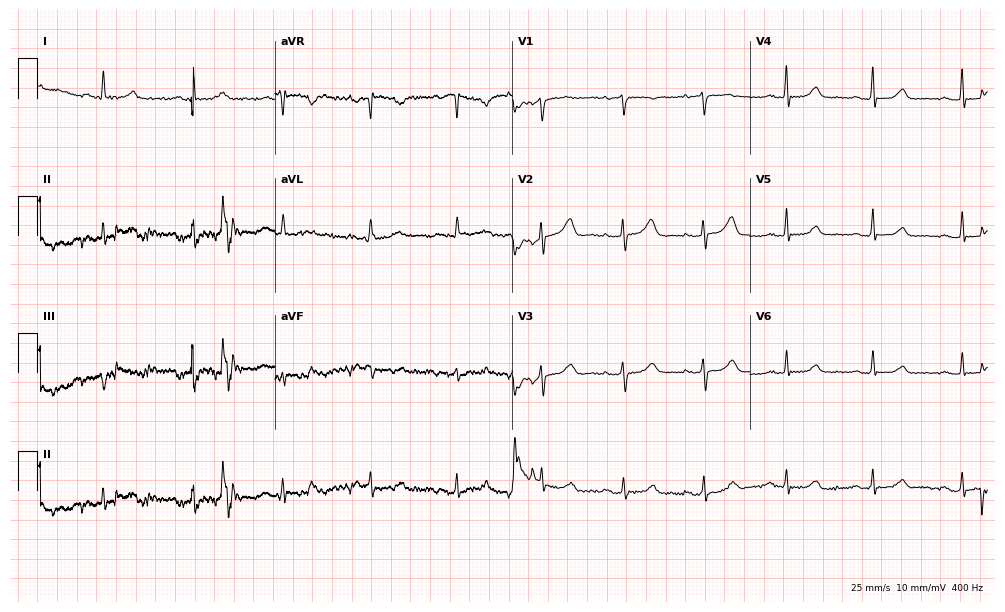
ECG (9.7-second recording at 400 Hz) — an 81-year-old female patient. Screened for six findings — first-degree AV block, right bundle branch block, left bundle branch block, sinus bradycardia, atrial fibrillation, sinus tachycardia — none is recorded.